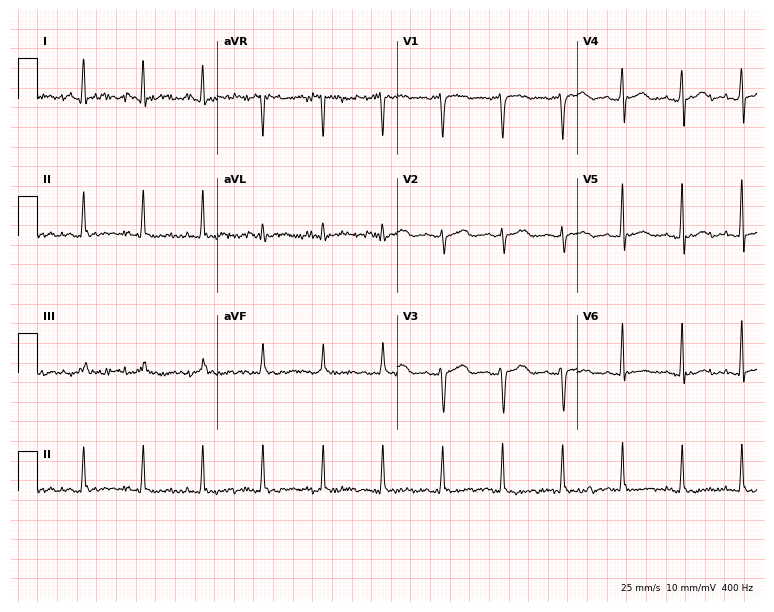
Resting 12-lead electrocardiogram (7.3-second recording at 400 Hz). Patient: a woman, 36 years old. None of these six findings is recorded: first-degree AV block, right bundle branch block, left bundle branch block, sinus bradycardia, atrial fibrillation, sinus tachycardia.